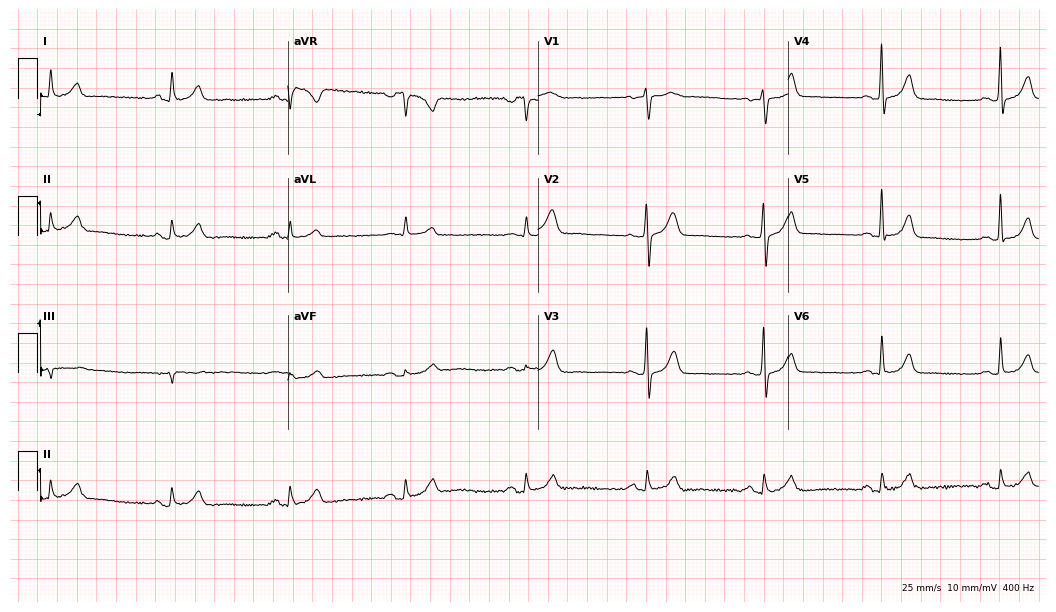
ECG — a woman, 51 years old. Screened for six findings — first-degree AV block, right bundle branch block, left bundle branch block, sinus bradycardia, atrial fibrillation, sinus tachycardia — none is recorded.